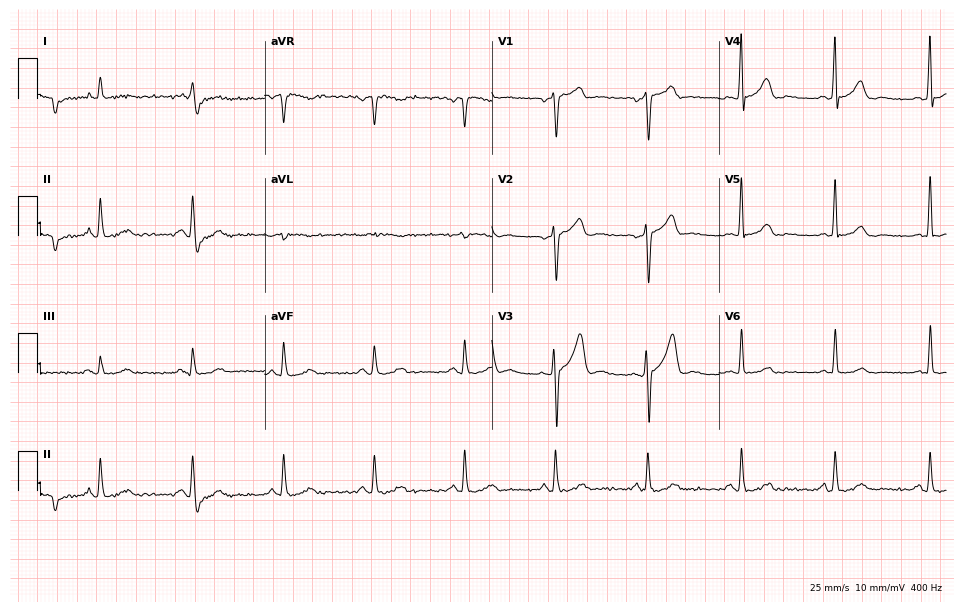
ECG (9.3-second recording at 400 Hz) — a male, 48 years old. Labelled as a normal ECG.